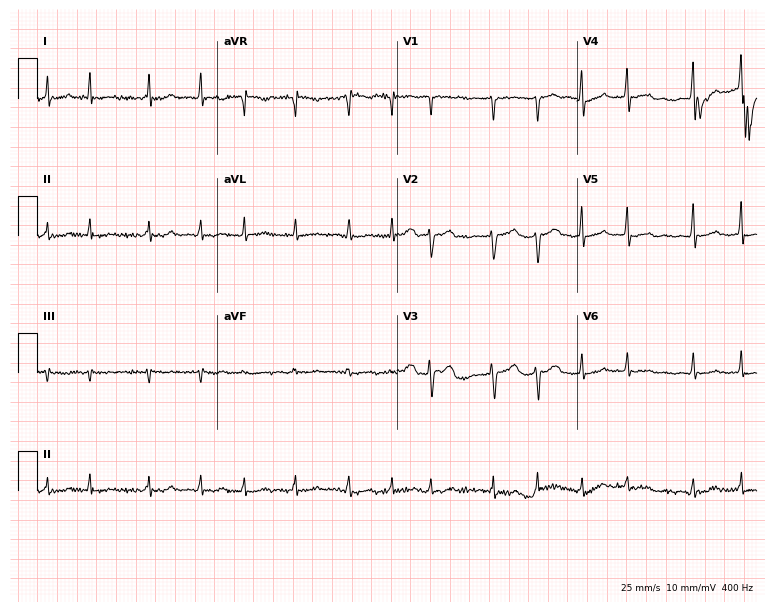
Electrocardiogram, a female, 74 years old. Interpretation includes atrial fibrillation.